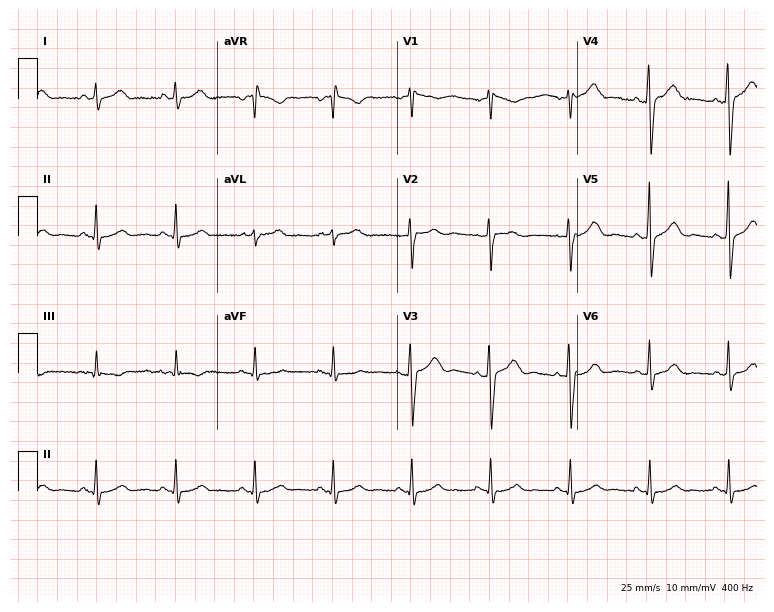
Standard 12-lead ECG recorded from a male patient, 56 years old. Read as a normal ECG.